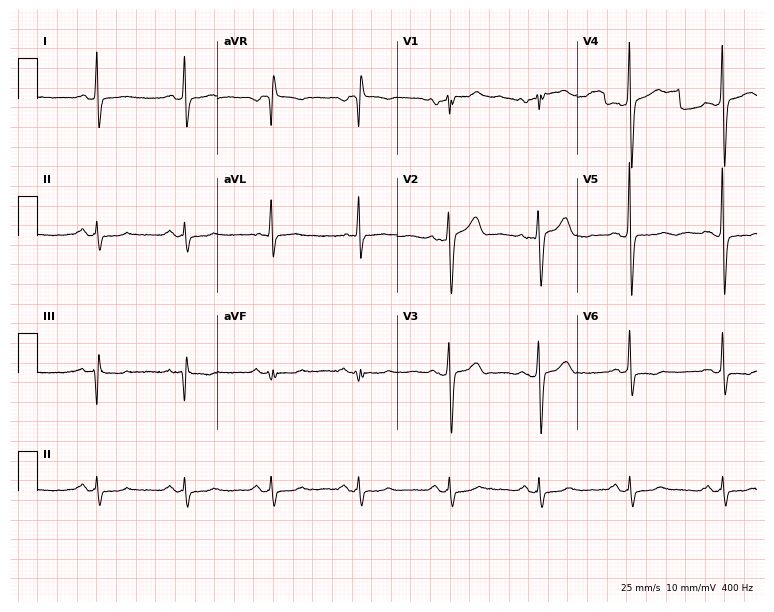
Standard 12-lead ECG recorded from a 45-year-old man. None of these six findings is recorded: first-degree AV block, right bundle branch block (RBBB), left bundle branch block (LBBB), sinus bradycardia, atrial fibrillation (AF), sinus tachycardia.